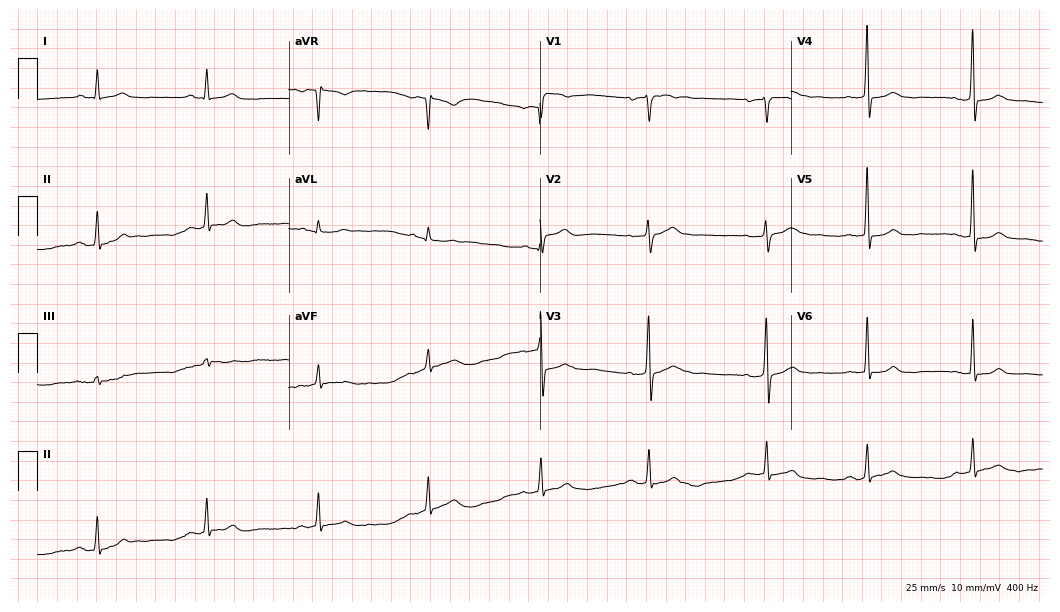
12-lead ECG from a 32-year-old female. No first-degree AV block, right bundle branch block, left bundle branch block, sinus bradycardia, atrial fibrillation or sinus tachycardia recorded for this tracing.